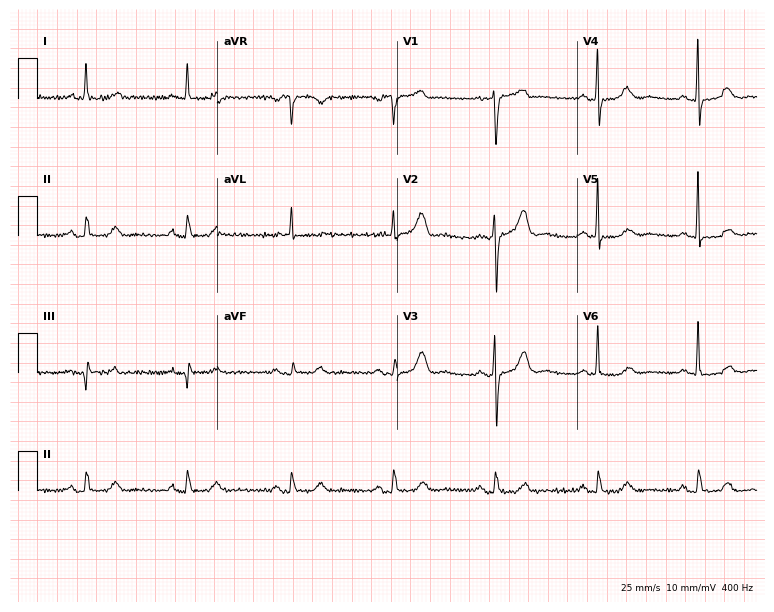
12-lead ECG from a 78-year-old woman. Screened for six findings — first-degree AV block, right bundle branch block (RBBB), left bundle branch block (LBBB), sinus bradycardia, atrial fibrillation (AF), sinus tachycardia — none is recorded.